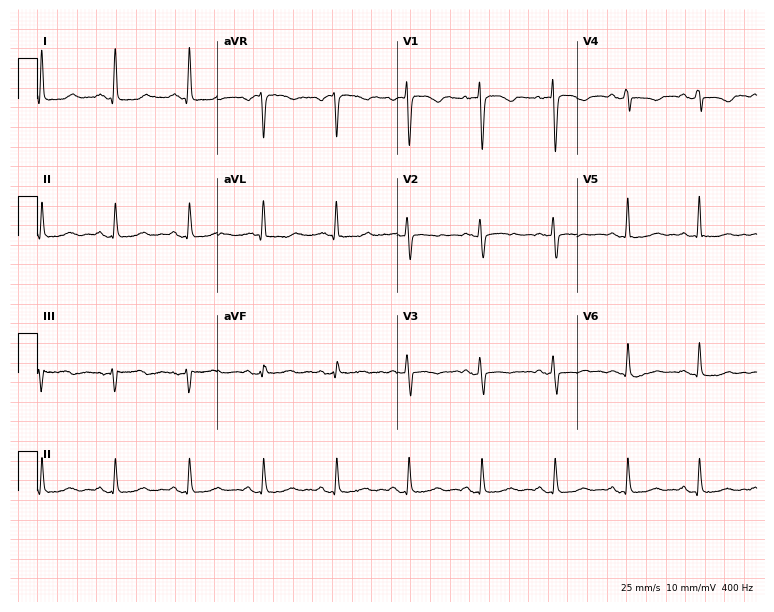
Electrocardiogram (7.3-second recording at 400 Hz), a 50-year-old female patient. Of the six screened findings (first-degree AV block, right bundle branch block (RBBB), left bundle branch block (LBBB), sinus bradycardia, atrial fibrillation (AF), sinus tachycardia), none is recorded. Other findings, if any, are not listed.